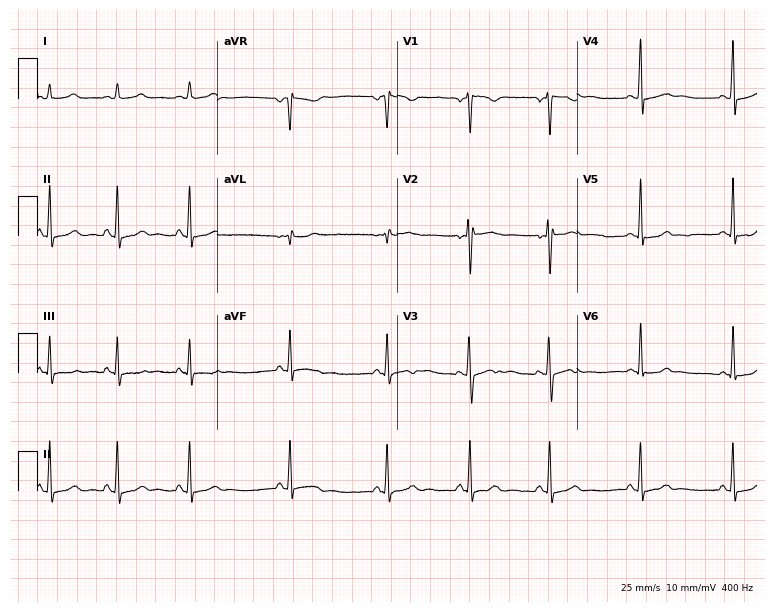
12-lead ECG from a 19-year-old female patient. Labelled as a normal ECG.